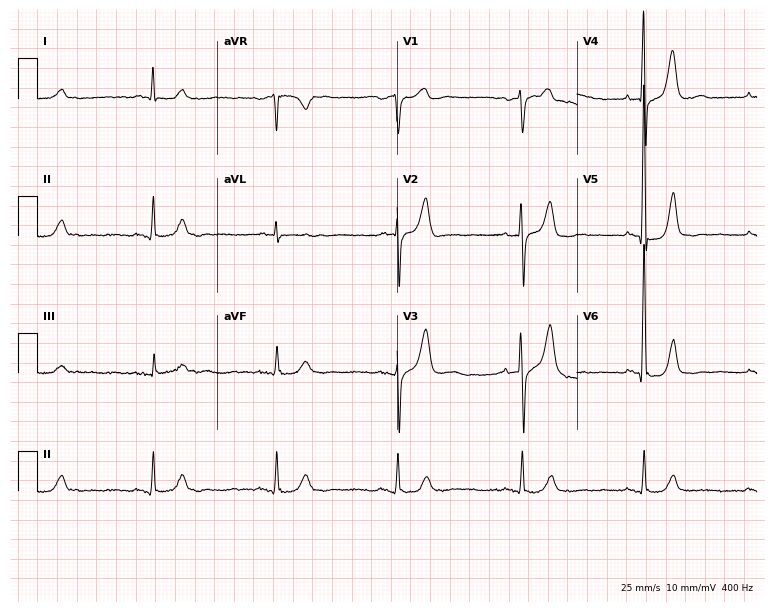
12-lead ECG from a male, 83 years old (7.3-second recording at 400 Hz). Recorded interpretation: within normal limits.